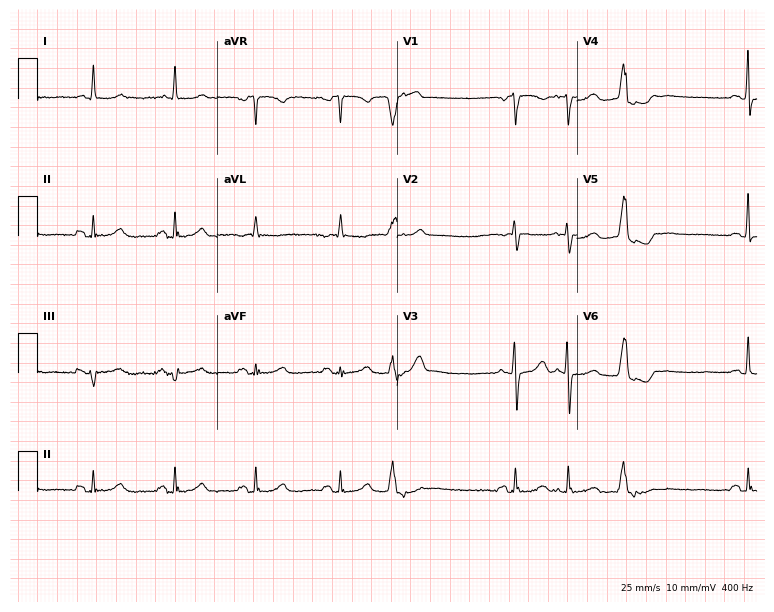
12-lead ECG (7.3-second recording at 400 Hz) from a female, 83 years old. Screened for six findings — first-degree AV block, right bundle branch block, left bundle branch block, sinus bradycardia, atrial fibrillation, sinus tachycardia — none is recorded. Only these six findings were labelled.